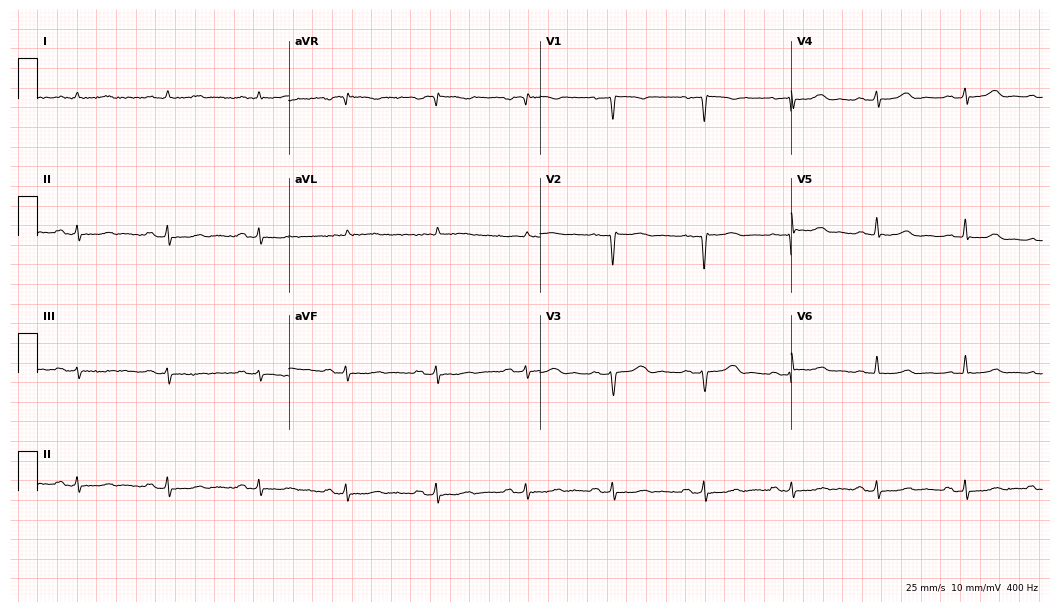
Standard 12-lead ECG recorded from a female patient, 44 years old (10.2-second recording at 400 Hz). None of these six findings is recorded: first-degree AV block, right bundle branch block, left bundle branch block, sinus bradycardia, atrial fibrillation, sinus tachycardia. Findings outside these six are not listed.